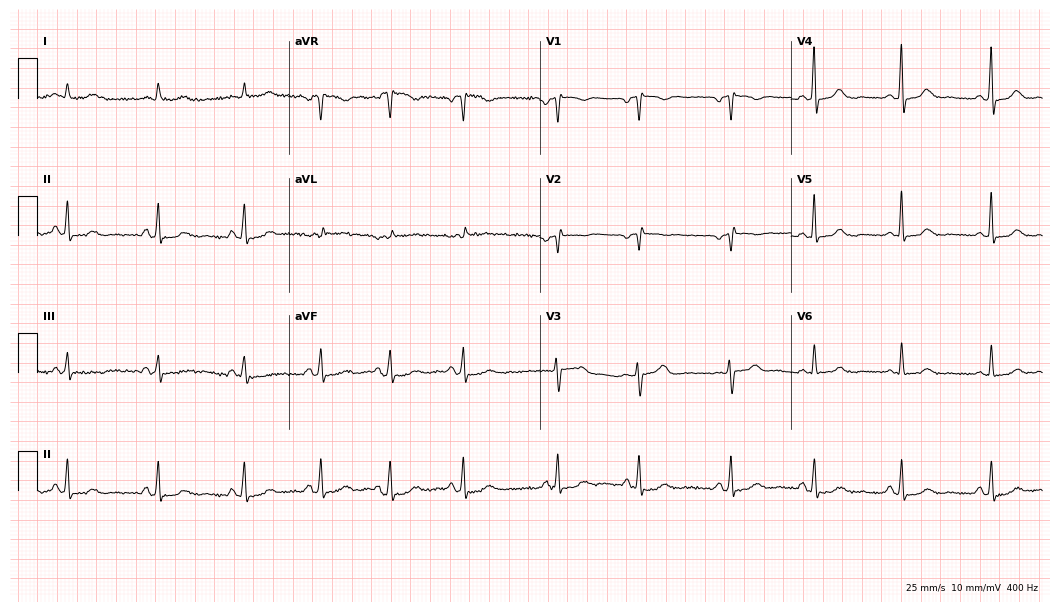
Standard 12-lead ECG recorded from a 44-year-old woman (10.2-second recording at 400 Hz). None of these six findings is recorded: first-degree AV block, right bundle branch block, left bundle branch block, sinus bradycardia, atrial fibrillation, sinus tachycardia.